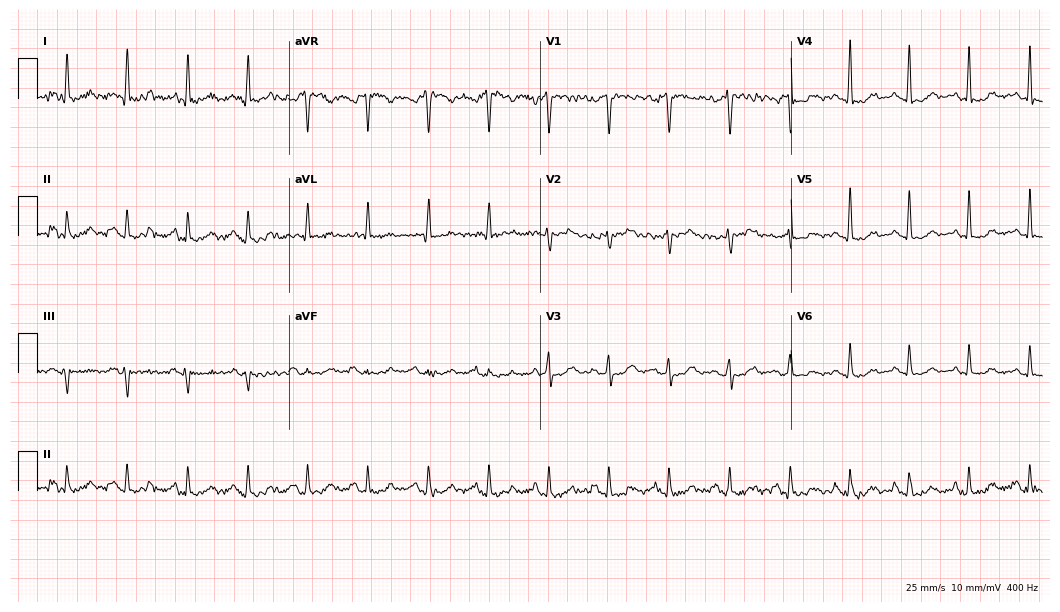
12-lead ECG from a 59-year-old male. No first-degree AV block, right bundle branch block, left bundle branch block, sinus bradycardia, atrial fibrillation or sinus tachycardia recorded for this tracing. Only these six findings were labelled.